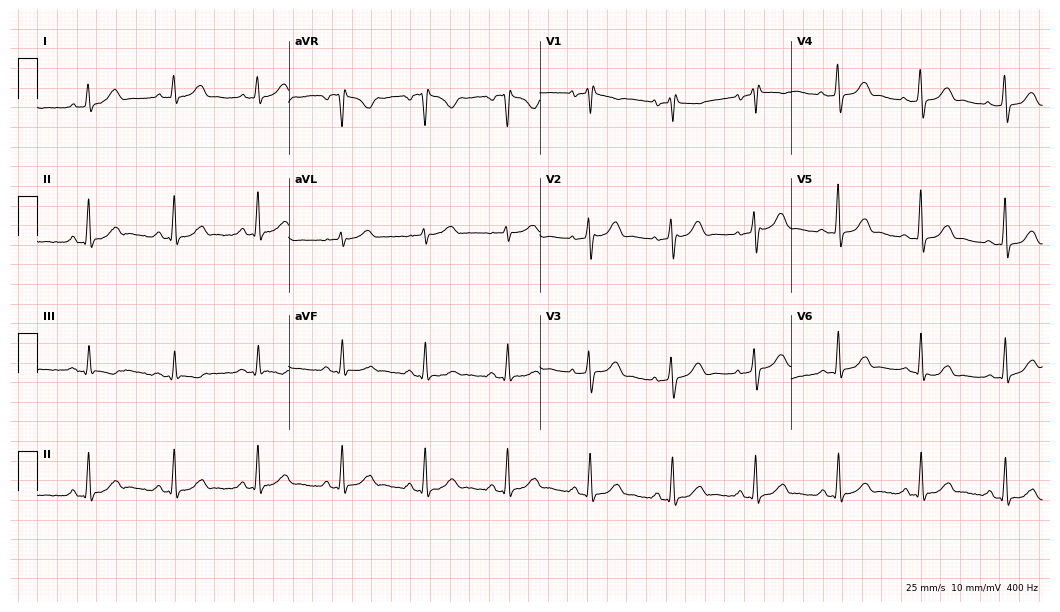
Standard 12-lead ECG recorded from a female patient, 69 years old (10.2-second recording at 400 Hz). None of these six findings is recorded: first-degree AV block, right bundle branch block, left bundle branch block, sinus bradycardia, atrial fibrillation, sinus tachycardia.